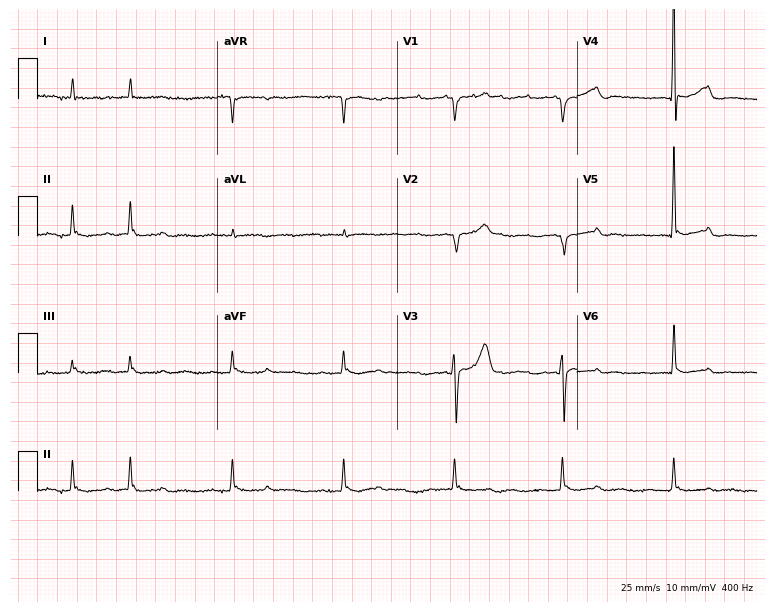
Resting 12-lead electrocardiogram. Patient: an 85-year-old male. None of these six findings is recorded: first-degree AV block, right bundle branch block (RBBB), left bundle branch block (LBBB), sinus bradycardia, atrial fibrillation (AF), sinus tachycardia. Other findings, if any, are not listed.